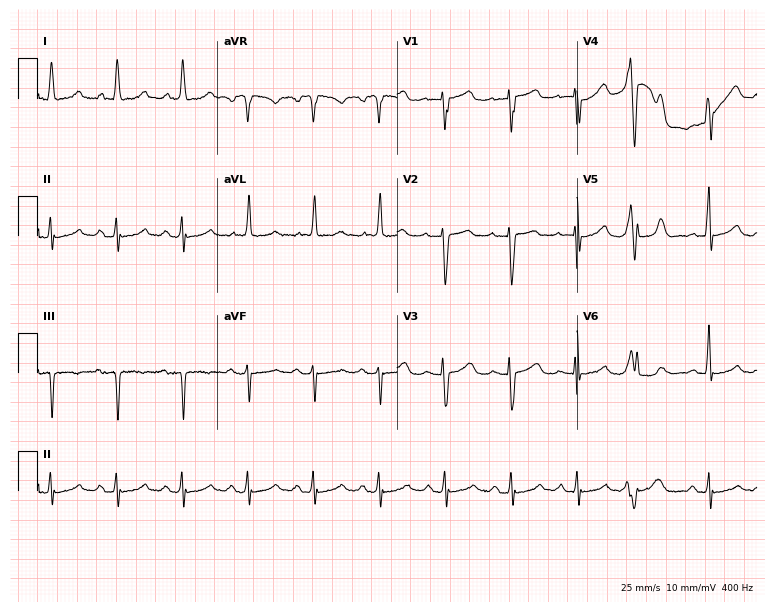
Resting 12-lead electrocardiogram. Patient: a female, 87 years old. None of these six findings is recorded: first-degree AV block, right bundle branch block, left bundle branch block, sinus bradycardia, atrial fibrillation, sinus tachycardia. Other findings, if any, are not listed.